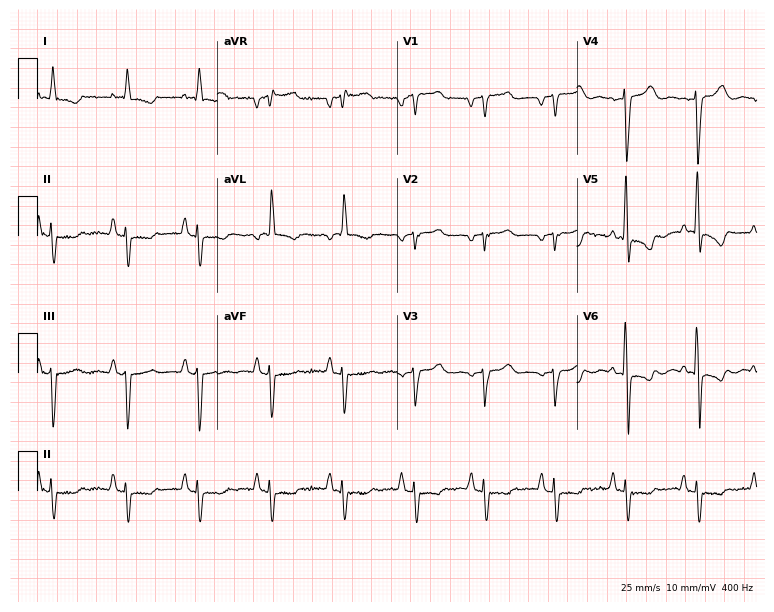
12-lead ECG from a male, 70 years old (7.3-second recording at 400 Hz). No first-degree AV block, right bundle branch block, left bundle branch block, sinus bradycardia, atrial fibrillation or sinus tachycardia recorded for this tracing.